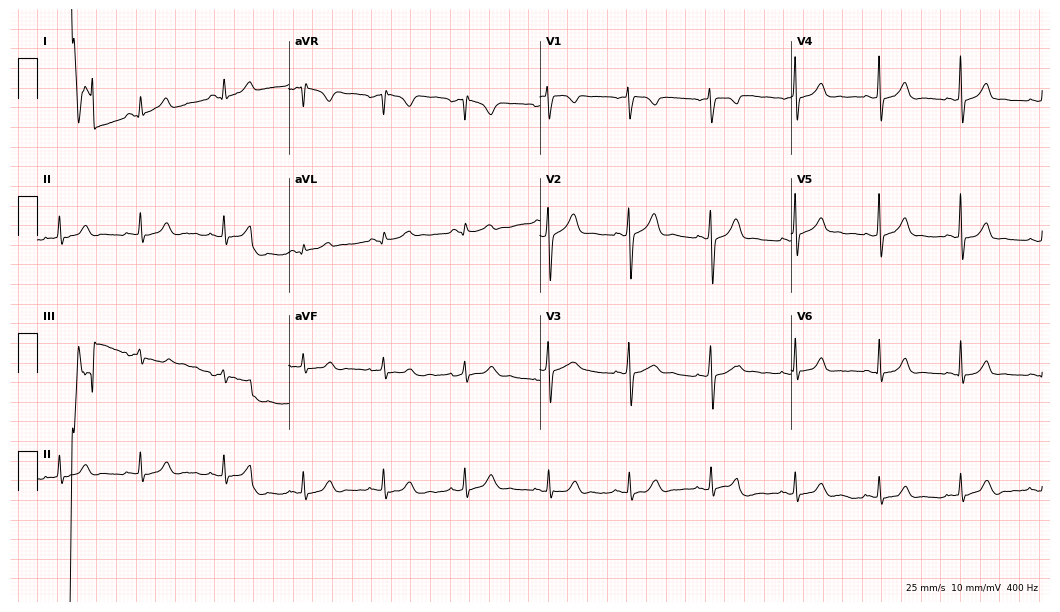
ECG (10.2-second recording at 400 Hz) — a female patient, 21 years old. Labelled as a normal ECG.